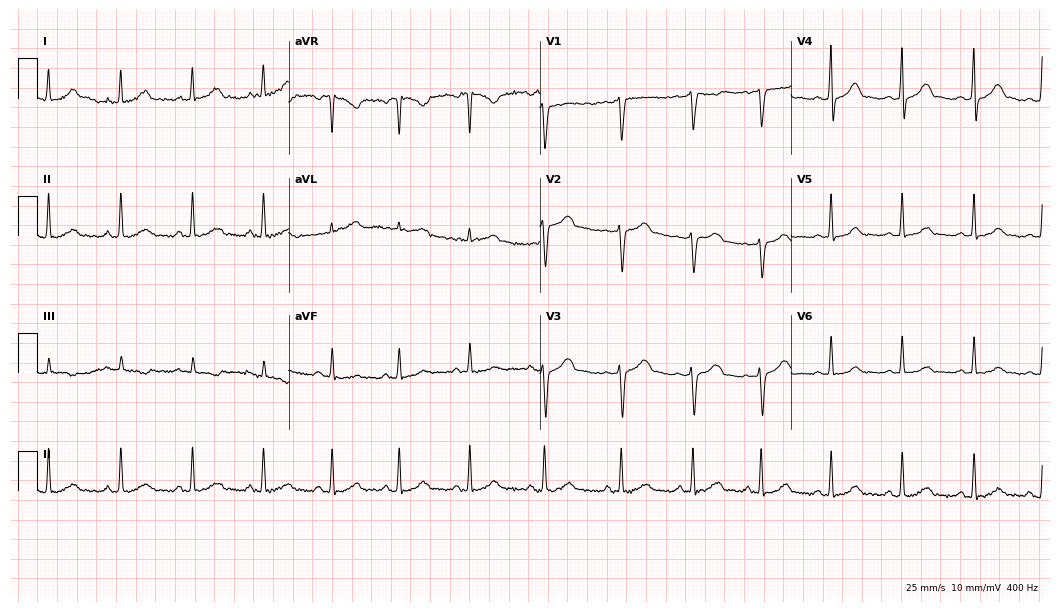
12-lead ECG from a female patient, 42 years old (10.2-second recording at 400 Hz). Recorded interpretation: within normal limits.